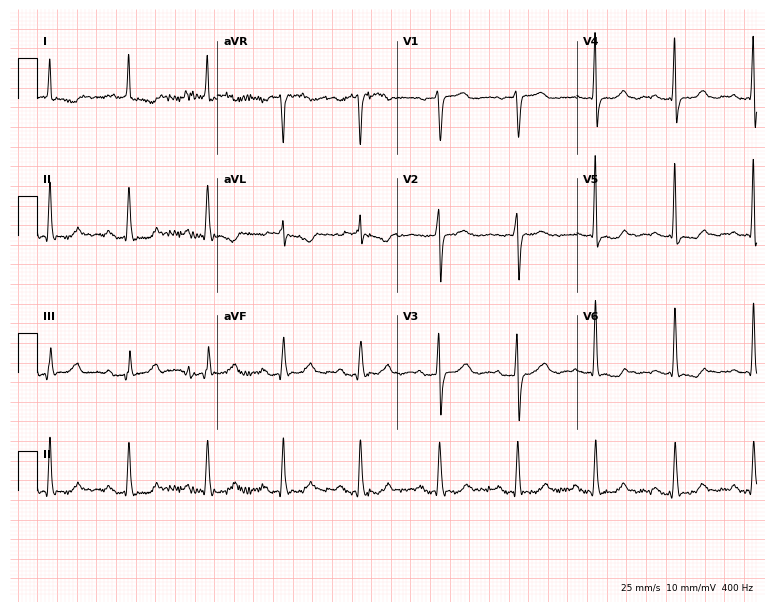
12-lead ECG from a woman, 79 years old. Screened for six findings — first-degree AV block, right bundle branch block, left bundle branch block, sinus bradycardia, atrial fibrillation, sinus tachycardia — none is recorded. Other findings, if any, are not listed.